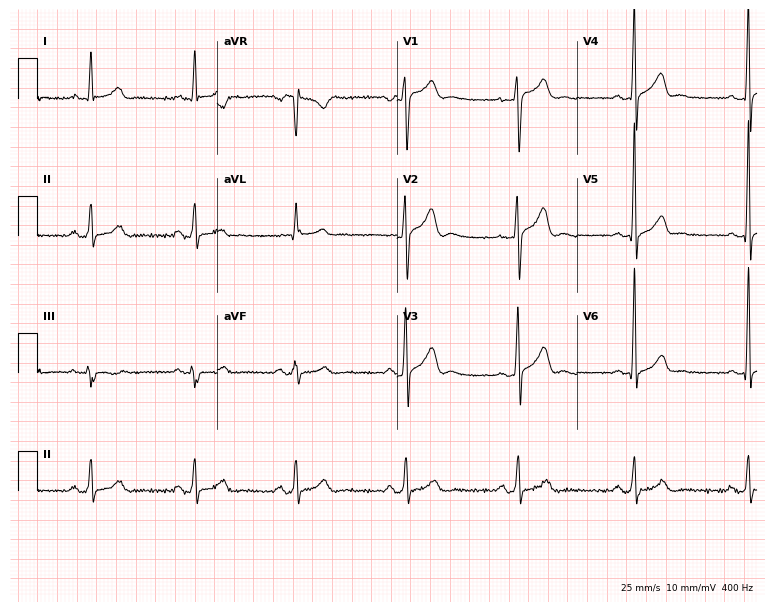
12-lead ECG (7.3-second recording at 400 Hz) from a 36-year-old male. Screened for six findings — first-degree AV block, right bundle branch block, left bundle branch block, sinus bradycardia, atrial fibrillation, sinus tachycardia — none is recorded.